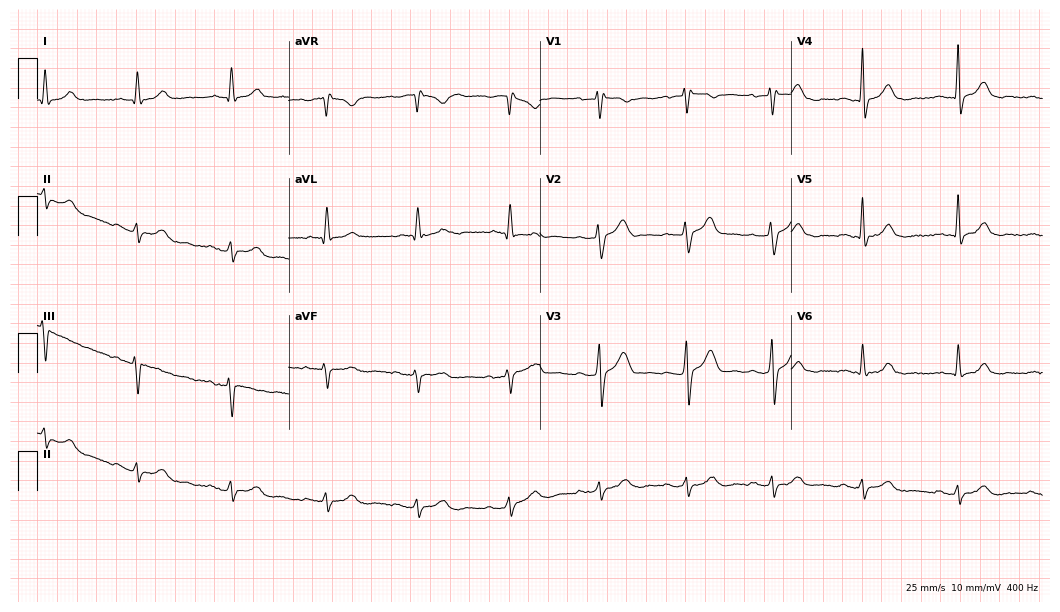
ECG — a 63-year-old man. Screened for six findings — first-degree AV block, right bundle branch block (RBBB), left bundle branch block (LBBB), sinus bradycardia, atrial fibrillation (AF), sinus tachycardia — none is recorded. Other findings, if any, are not listed.